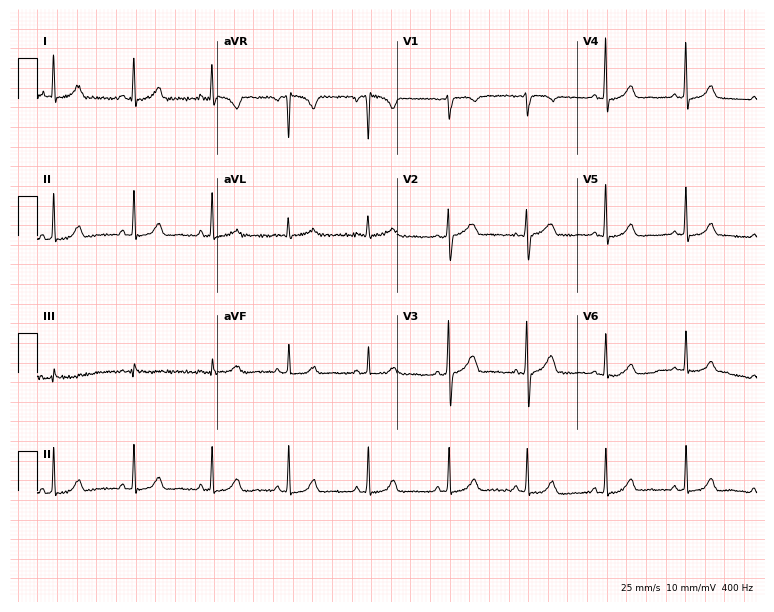
12-lead ECG (7.3-second recording at 400 Hz) from a female patient, 41 years old. Labelled as a normal ECG.